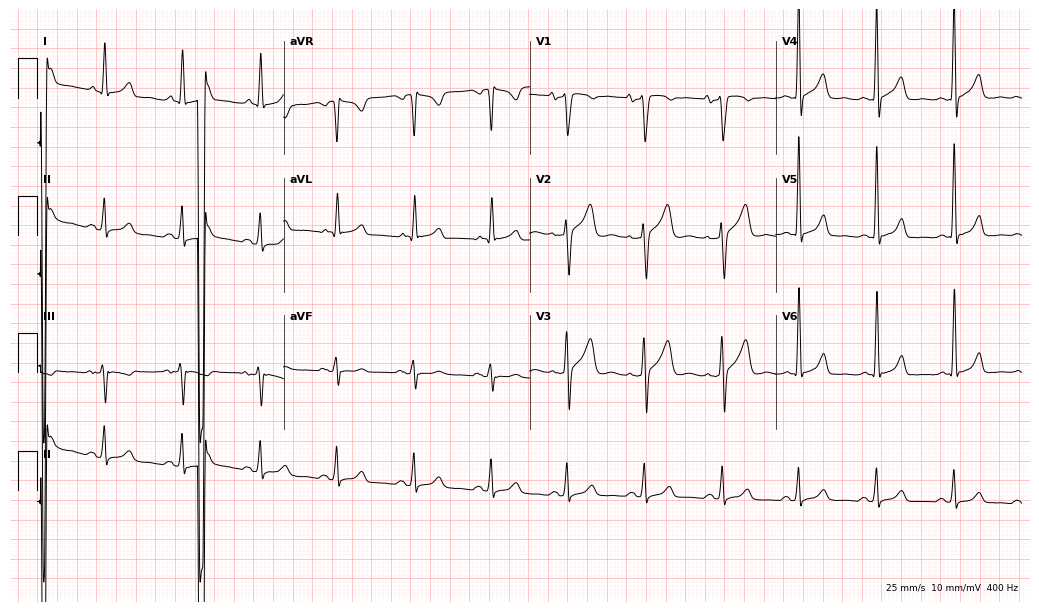
Standard 12-lead ECG recorded from a 48-year-old man. None of these six findings is recorded: first-degree AV block, right bundle branch block, left bundle branch block, sinus bradycardia, atrial fibrillation, sinus tachycardia. Other findings, if any, are not listed.